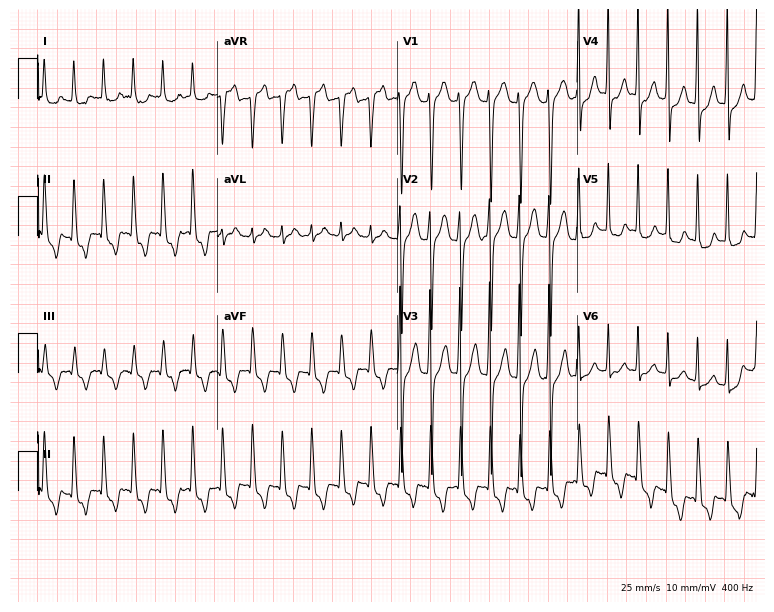
Resting 12-lead electrocardiogram (7.3-second recording at 400 Hz). Patient: a female, 77 years old. The tracing shows sinus tachycardia (a sinus rate of 100 beats per minute or more).